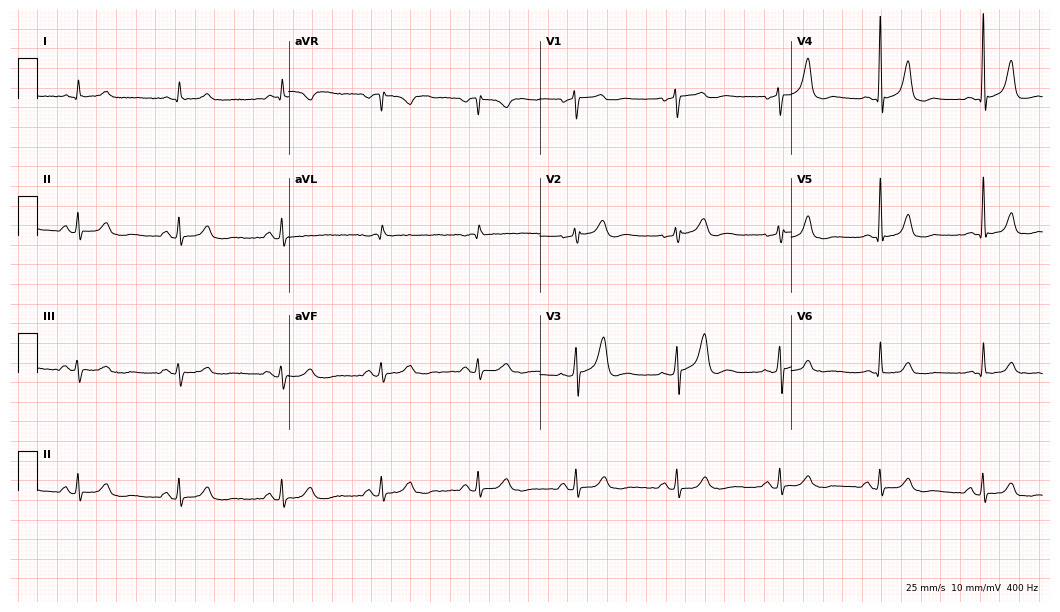
ECG (10.2-second recording at 400 Hz) — a man, 62 years old. Screened for six findings — first-degree AV block, right bundle branch block (RBBB), left bundle branch block (LBBB), sinus bradycardia, atrial fibrillation (AF), sinus tachycardia — none is recorded.